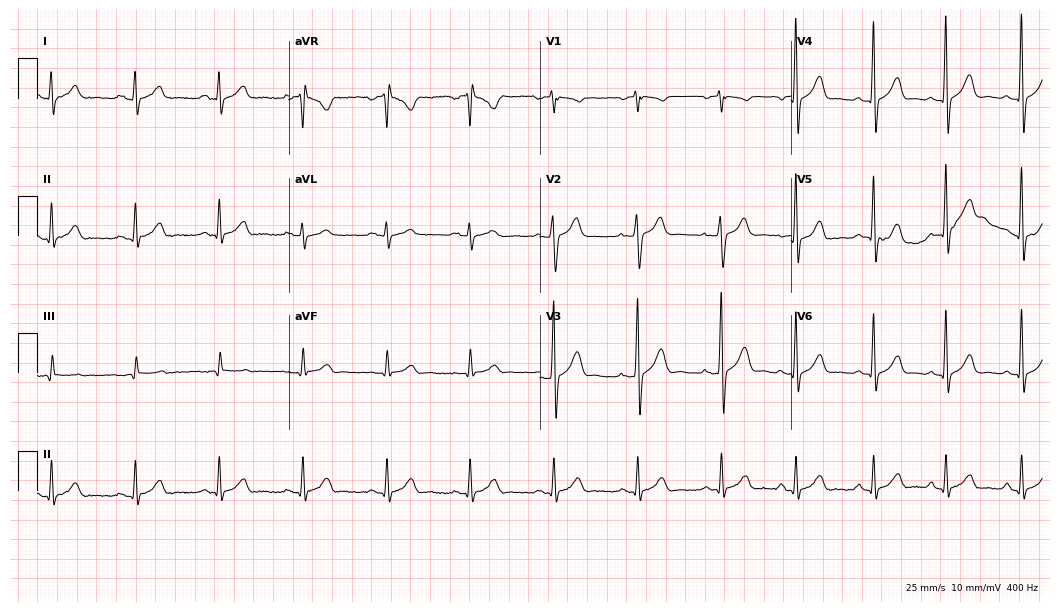
Resting 12-lead electrocardiogram. Patient: a male, 46 years old. Read as a normal ECG.